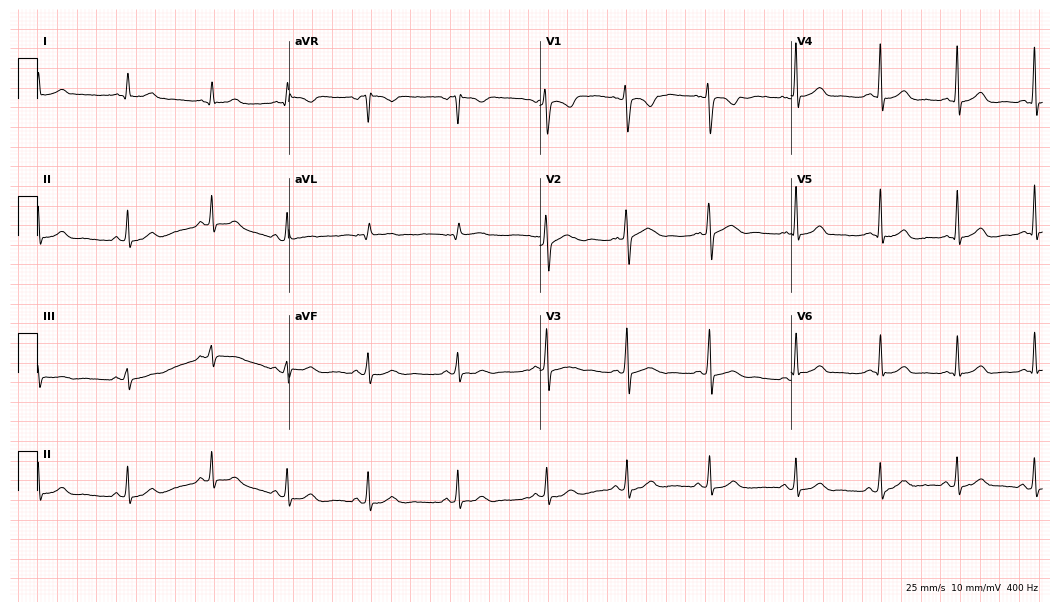
12-lead ECG from a 26-year-old woman. Labelled as a normal ECG.